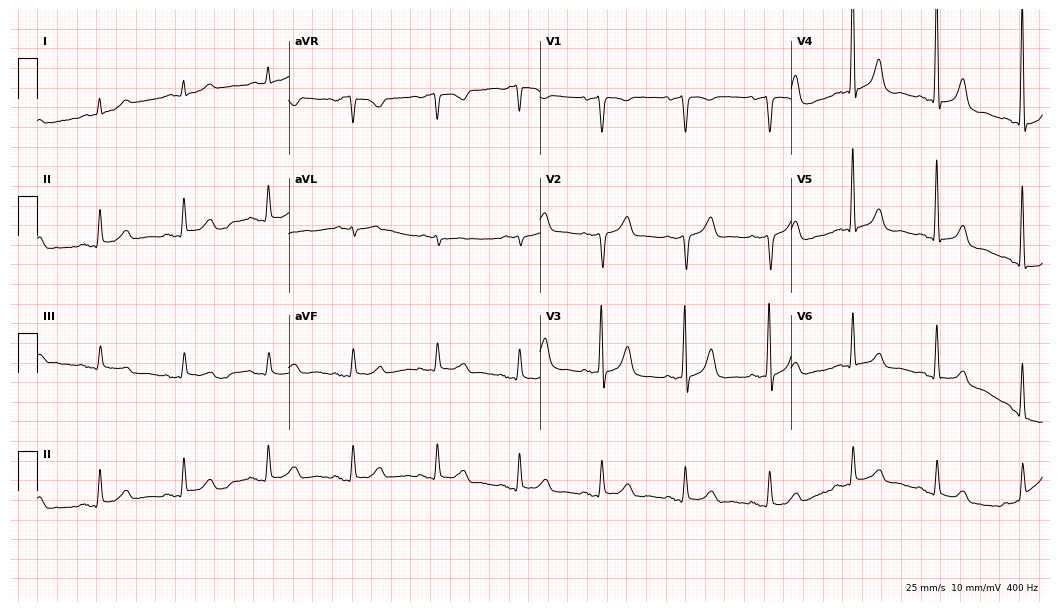
12-lead ECG from a 63-year-old man. Labelled as a normal ECG.